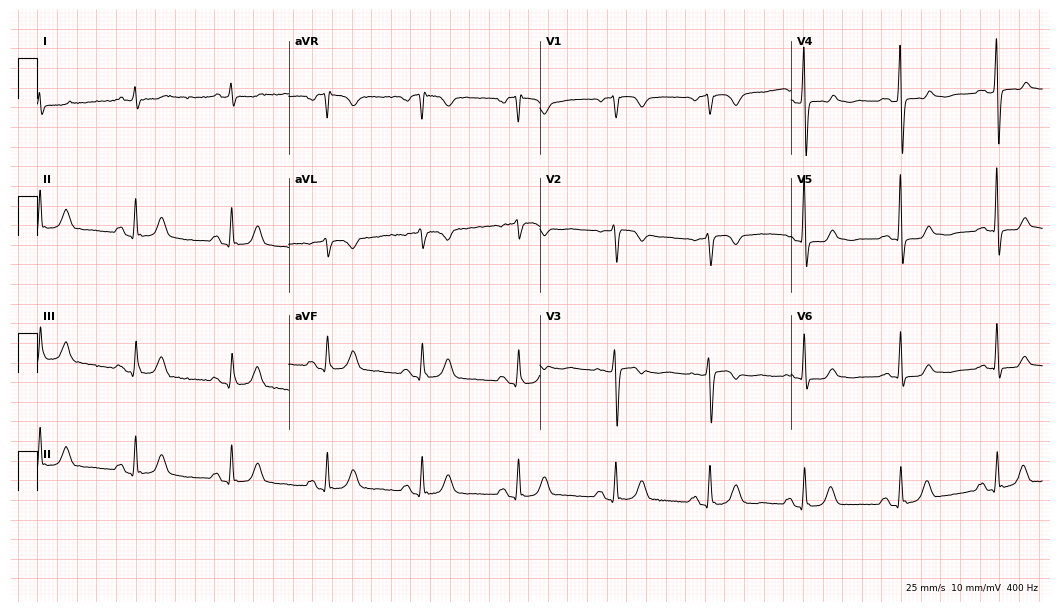
Standard 12-lead ECG recorded from a 77-year-old man. None of these six findings is recorded: first-degree AV block, right bundle branch block, left bundle branch block, sinus bradycardia, atrial fibrillation, sinus tachycardia. Findings outside these six are not listed.